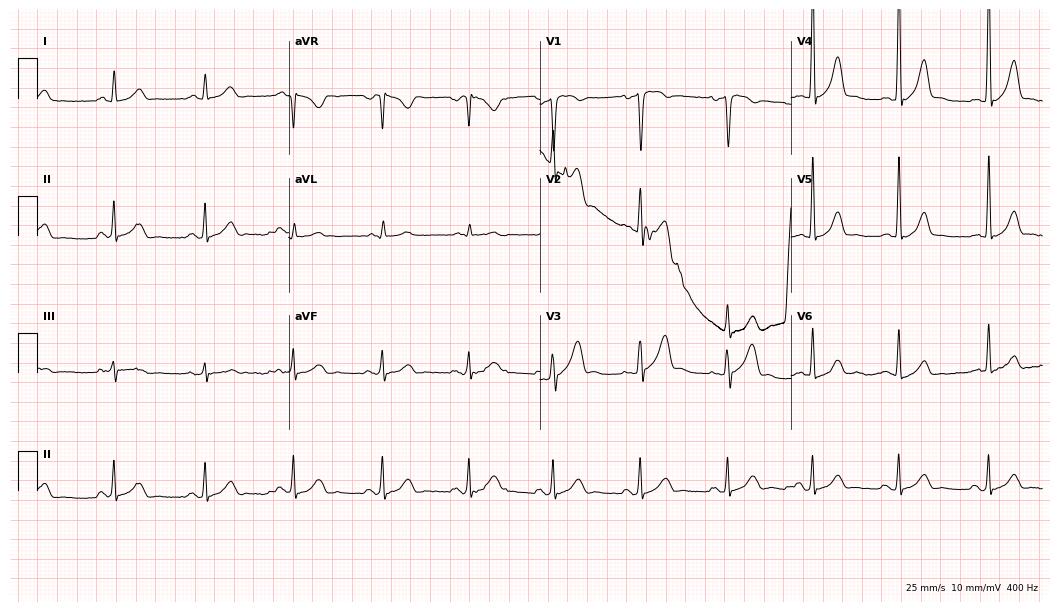
Standard 12-lead ECG recorded from a male patient, 43 years old (10.2-second recording at 400 Hz). Read as a normal ECG.